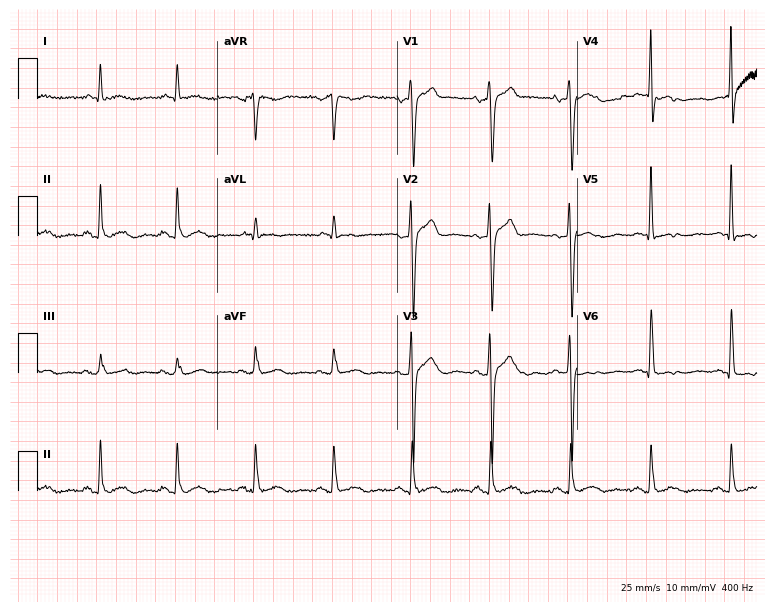
12-lead ECG from a male patient, 61 years old (7.3-second recording at 400 Hz). No first-degree AV block, right bundle branch block (RBBB), left bundle branch block (LBBB), sinus bradycardia, atrial fibrillation (AF) or sinus tachycardia recorded for this tracing.